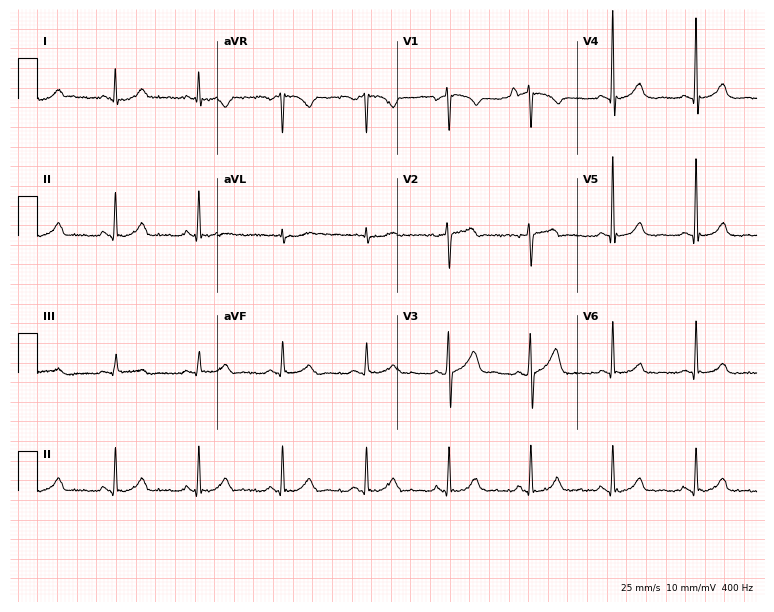
ECG — a 53-year-old male patient. Labelled as a normal ECG.